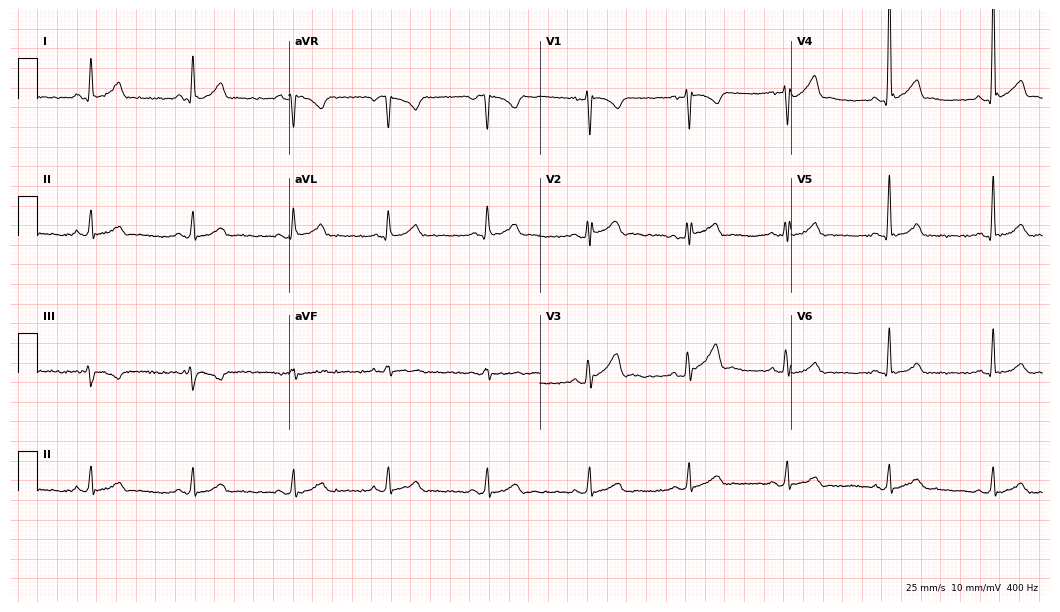
12-lead ECG from a man, 22 years old. Screened for six findings — first-degree AV block, right bundle branch block, left bundle branch block, sinus bradycardia, atrial fibrillation, sinus tachycardia — none is recorded.